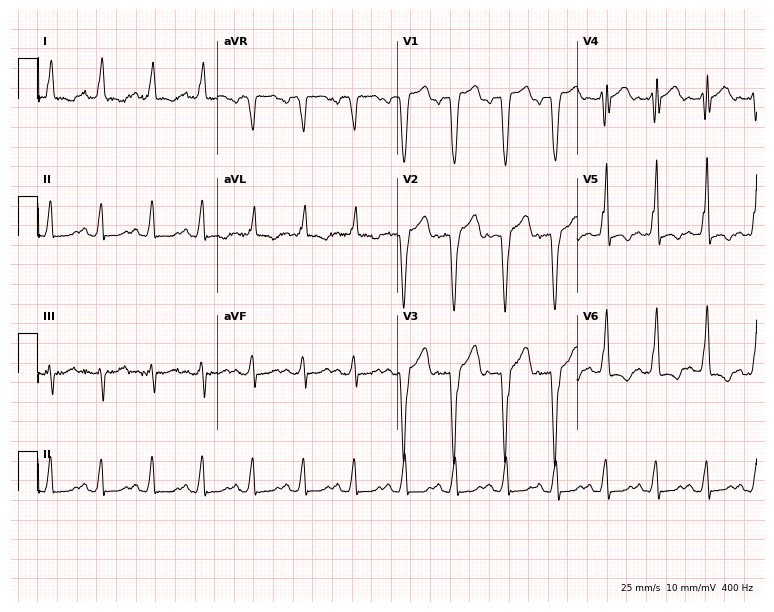
ECG (7.3-second recording at 400 Hz) — a woman, 46 years old. Findings include sinus tachycardia (a sinus rate of 100 beats per minute or more).